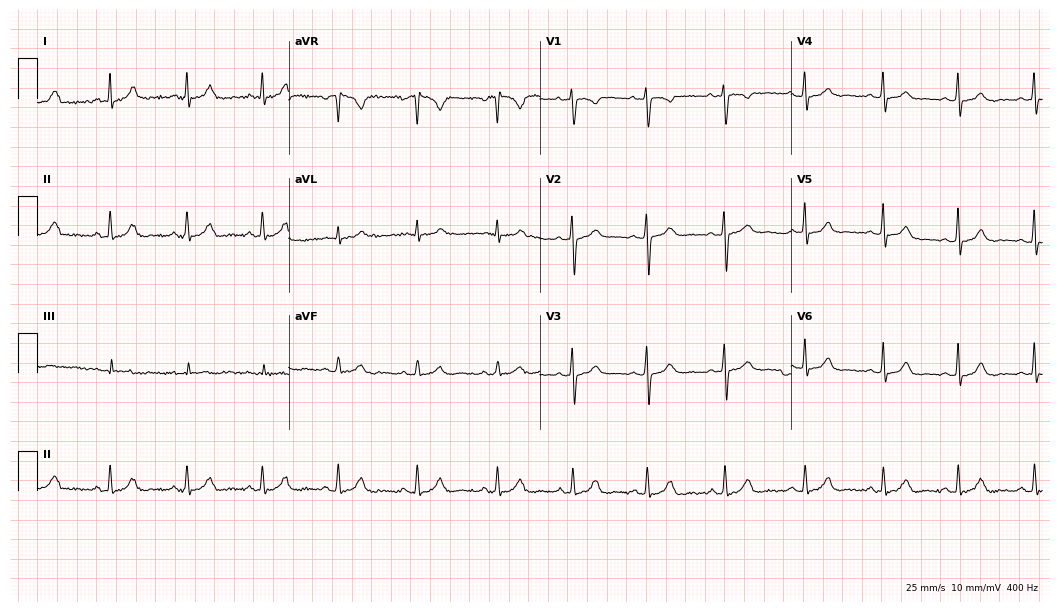
Electrocardiogram (10.2-second recording at 400 Hz), a female, 21 years old. Overall reading on record: normal ECG.